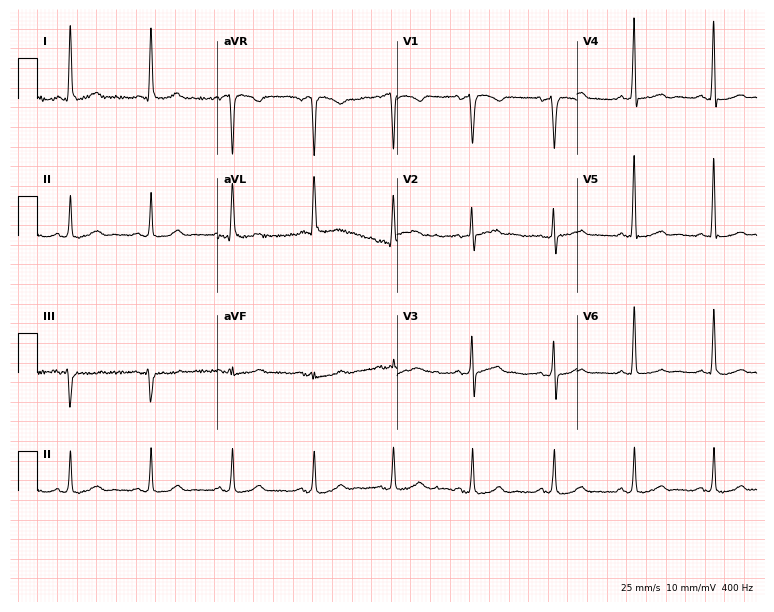
ECG — a 52-year-old female. Labelled as a normal ECG.